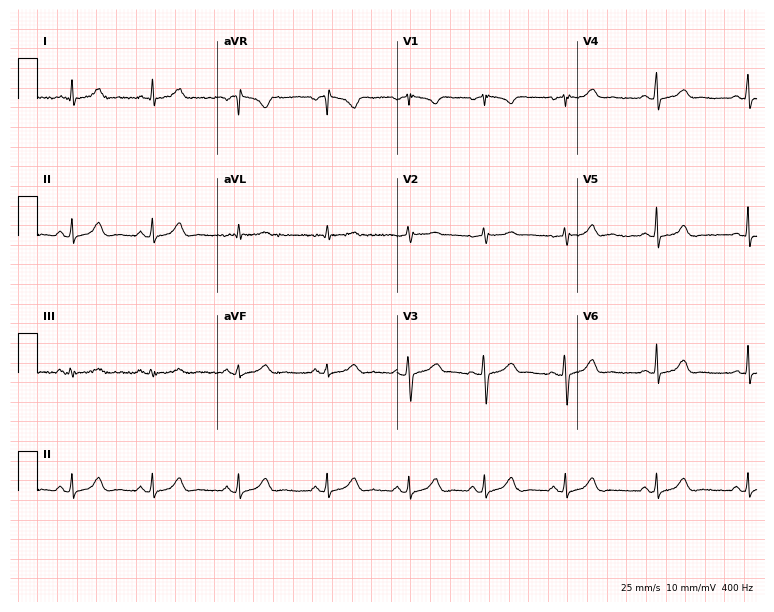
Electrocardiogram (7.3-second recording at 400 Hz), a 38-year-old woman. Overall reading on record: normal ECG.